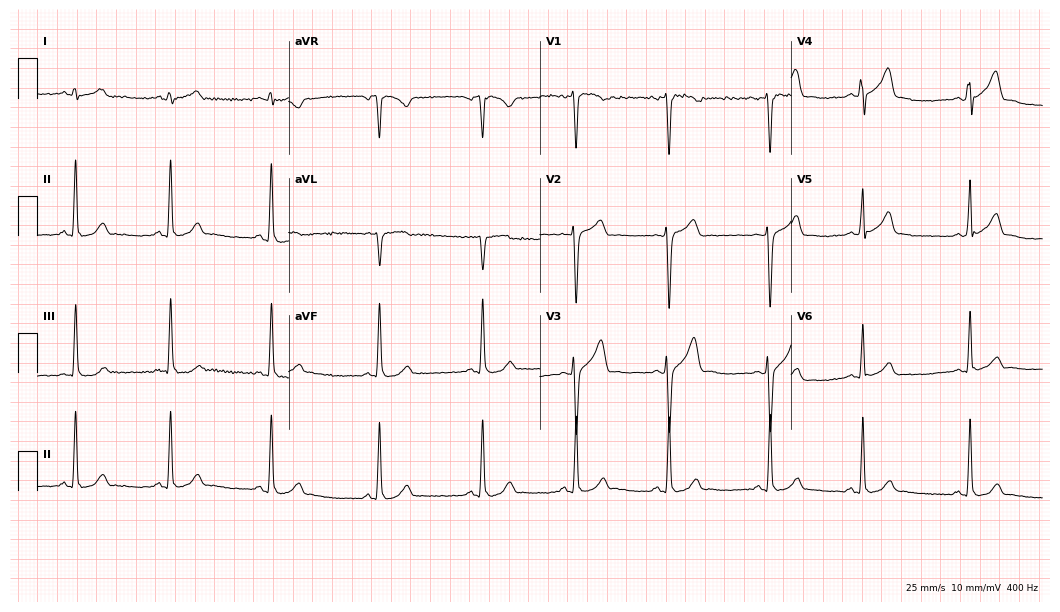
ECG — a 28-year-old male. Labelled as a normal ECG.